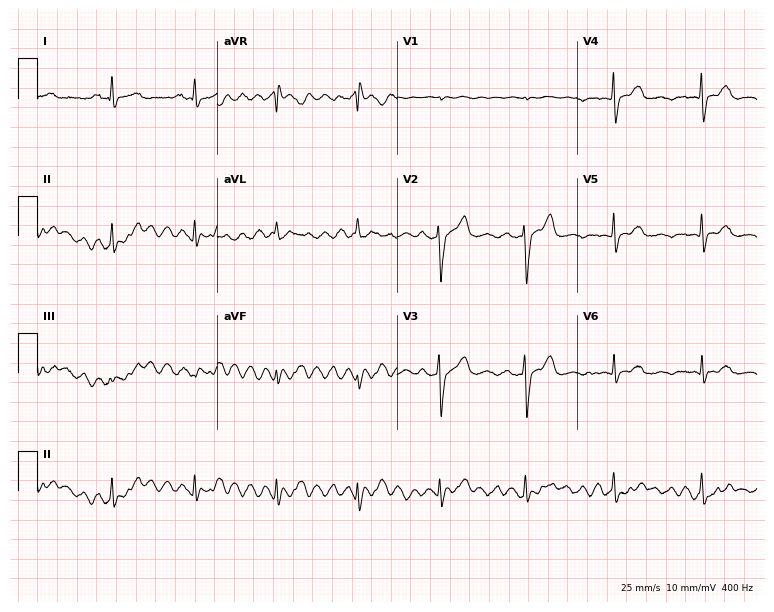
ECG (7.3-second recording at 400 Hz) — a male, 45 years old. Screened for six findings — first-degree AV block, right bundle branch block, left bundle branch block, sinus bradycardia, atrial fibrillation, sinus tachycardia — none is recorded. Only these six findings were labelled.